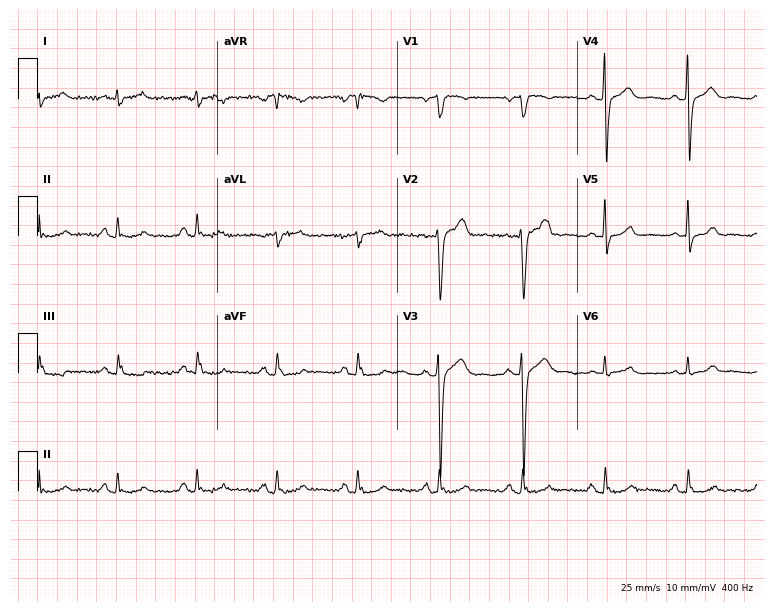
ECG — a 60-year-old man. Labelled as a normal ECG.